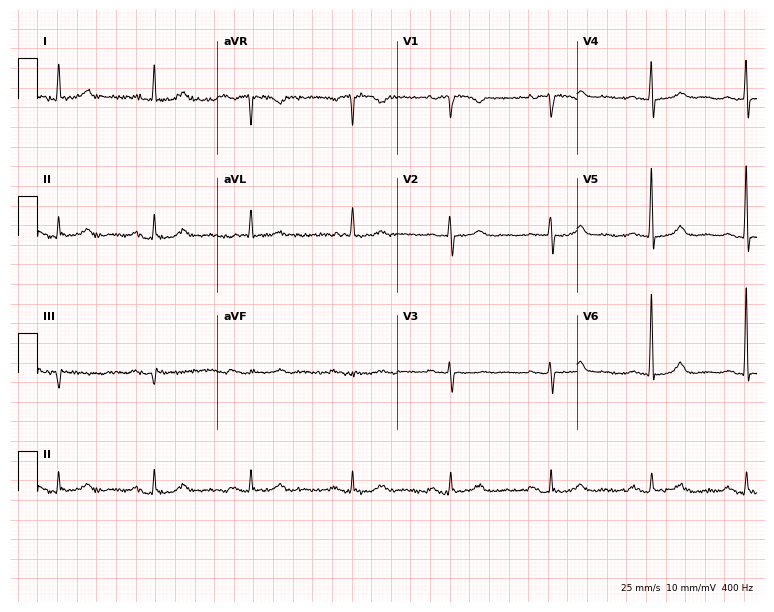
Standard 12-lead ECG recorded from a woman, 74 years old. Read as a normal ECG.